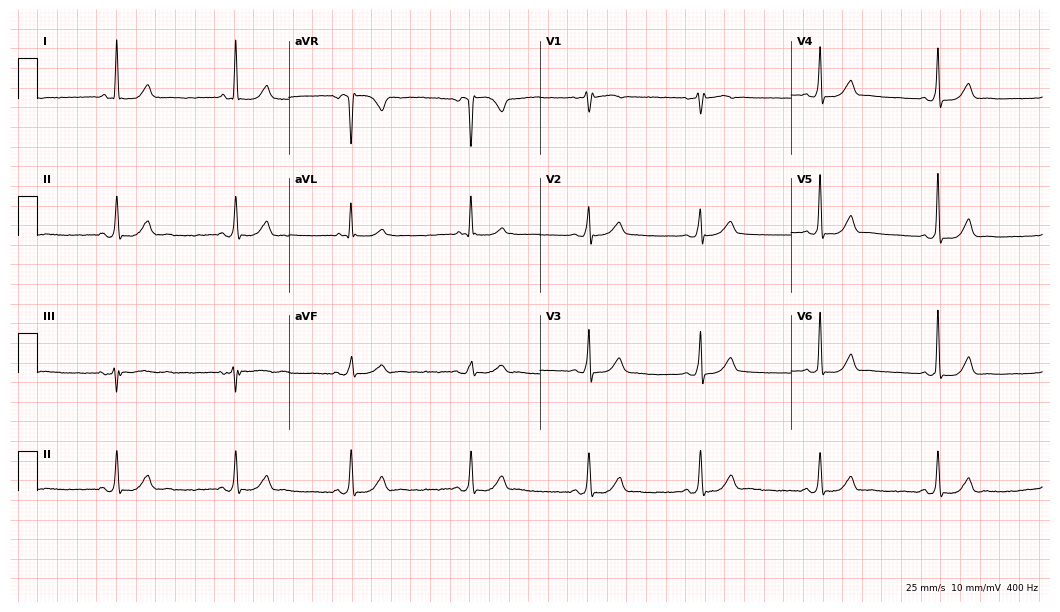
Electrocardiogram, a 63-year-old female patient. Interpretation includes sinus bradycardia (a sinus rate of 50 beats per minute or less).